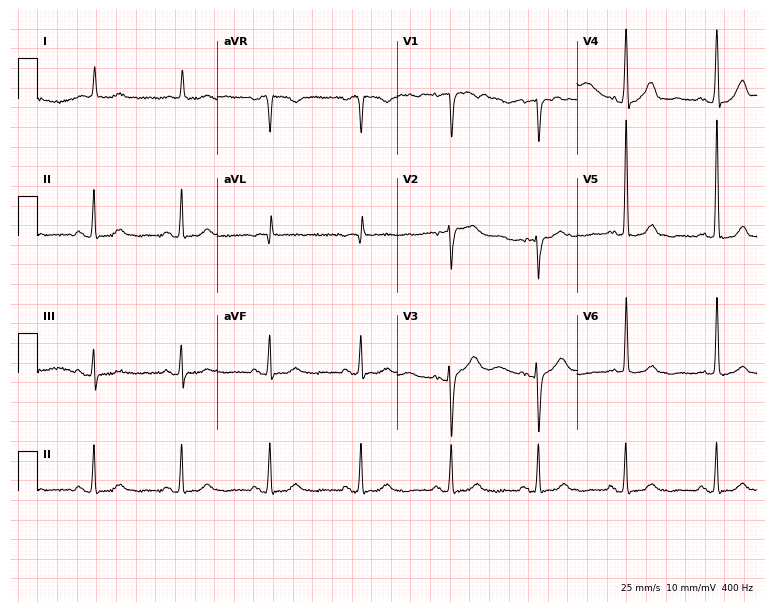
Resting 12-lead electrocardiogram. Patient: a female, 83 years old. None of these six findings is recorded: first-degree AV block, right bundle branch block, left bundle branch block, sinus bradycardia, atrial fibrillation, sinus tachycardia. Findings outside these six are not listed.